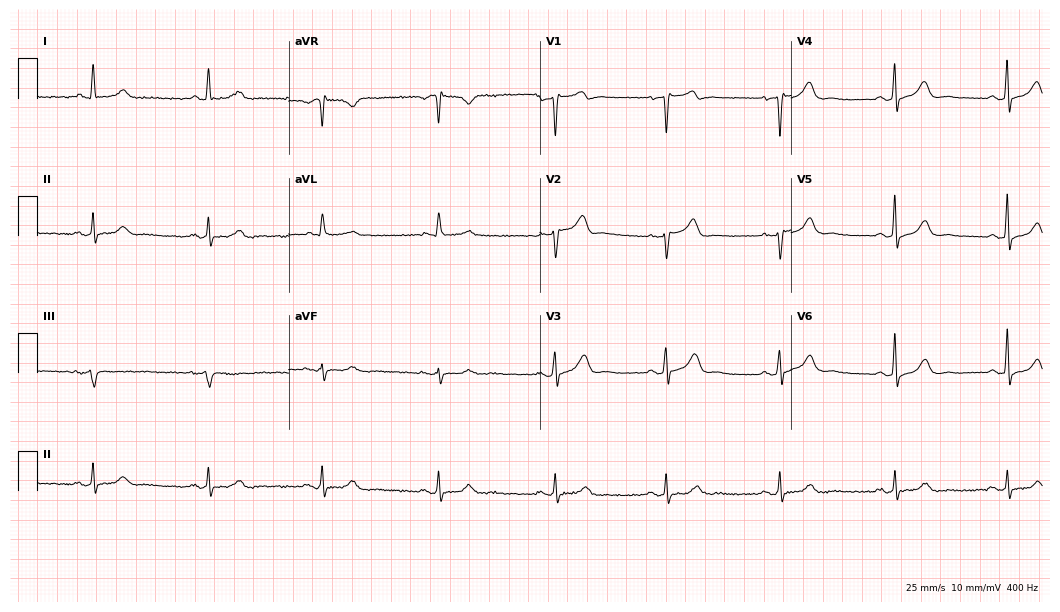
12-lead ECG from a 64-year-old male patient (10.2-second recording at 400 Hz). Recorded interpretation: within normal limits.